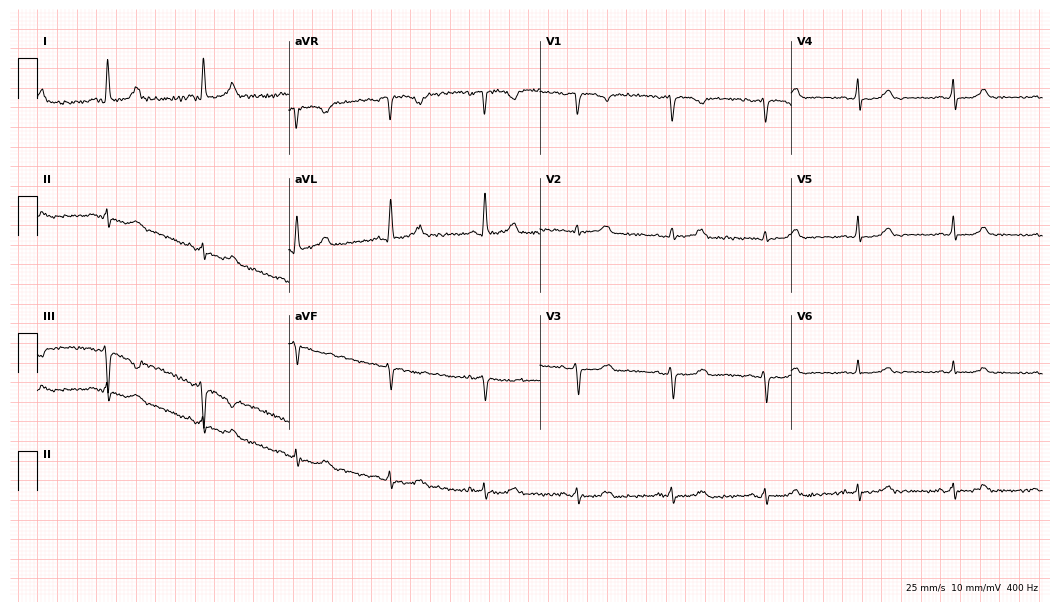
Resting 12-lead electrocardiogram (10.2-second recording at 400 Hz). Patient: a female, 65 years old. Read as a normal ECG.